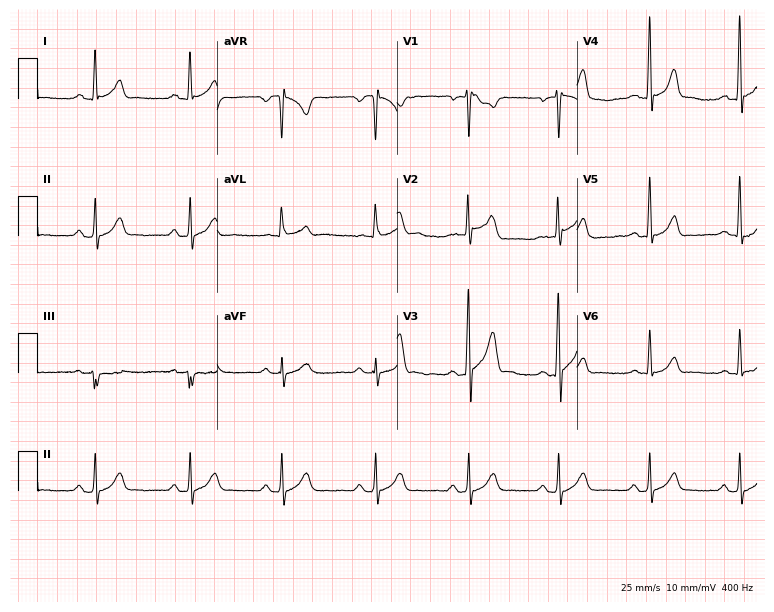
12-lead ECG (7.3-second recording at 400 Hz) from a man, 35 years old. Labelled as a normal ECG.